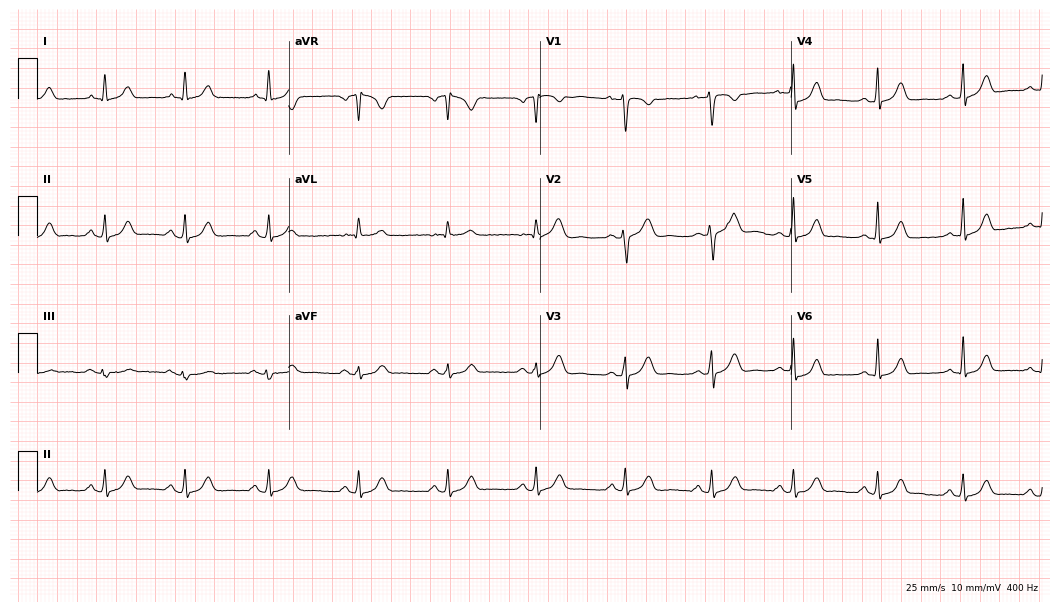
12-lead ECG from a female, 37 years old. Recorded interpretation: within normal limits.